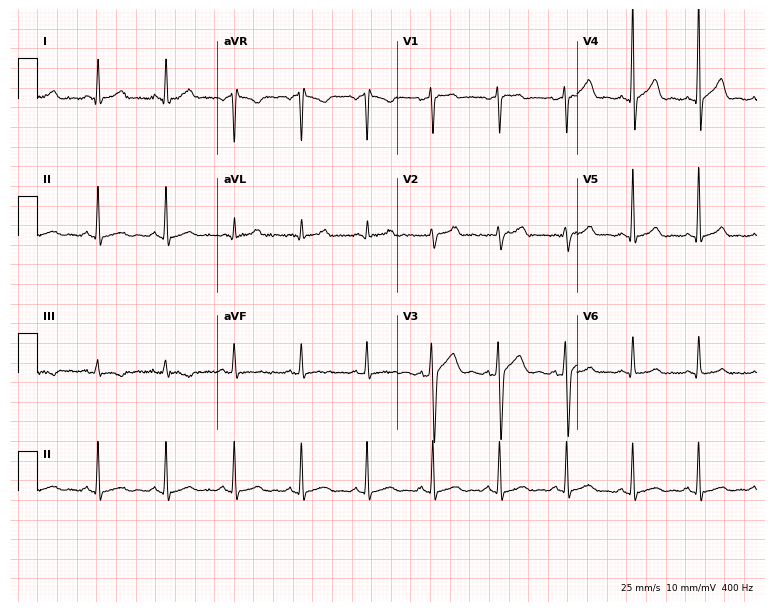
12-lead ECG (7.3-second recording at 400 Hz) from a male, 42 years old. Labelled as a normal ECG.